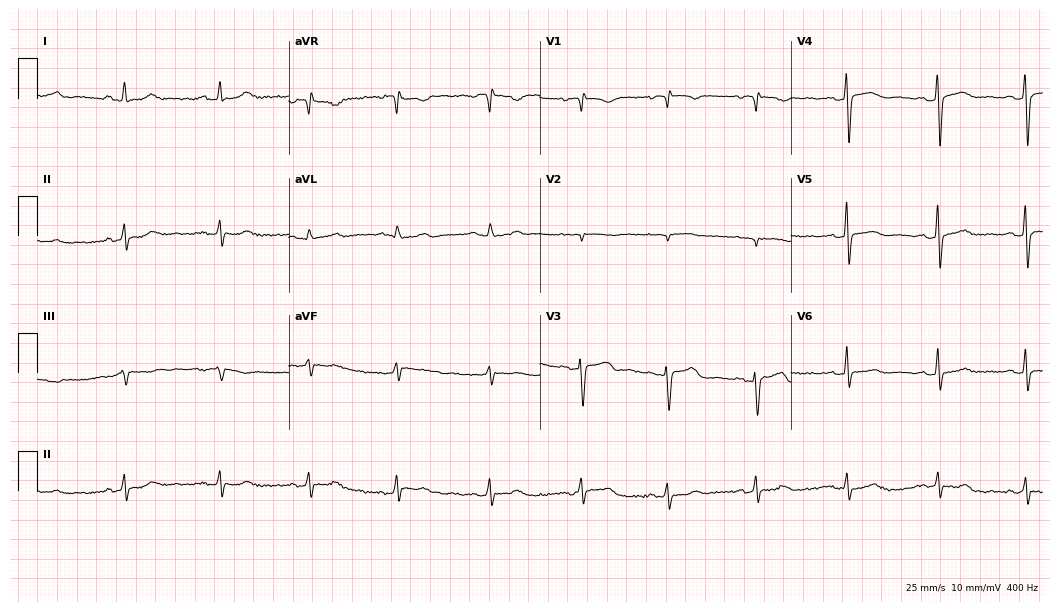
ECG (10.2-second recording at 400 Hz) — a female patient, 58 years old. Labelled as a normal ECG.